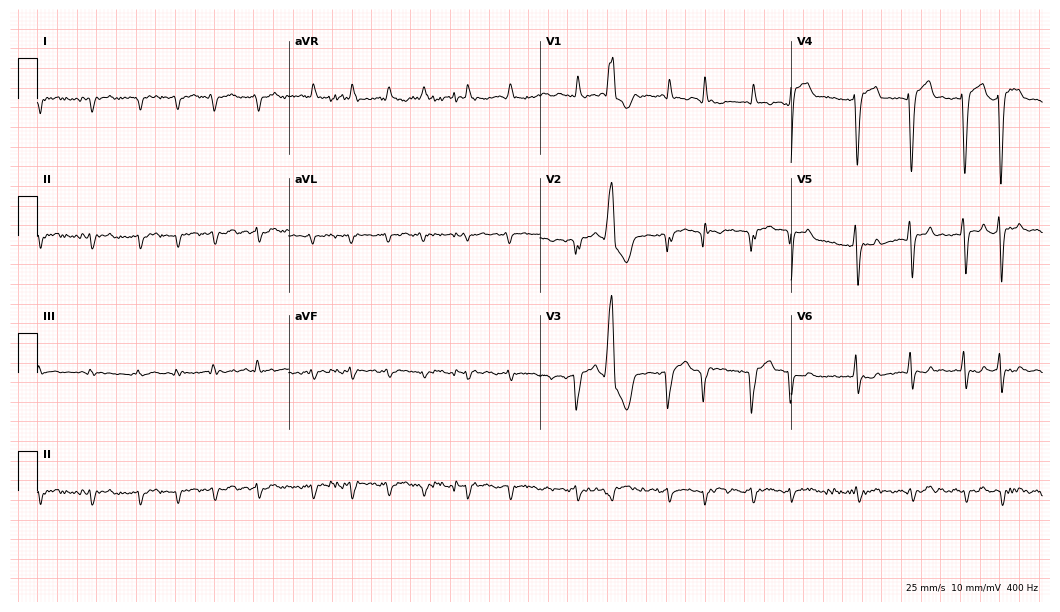
ECG (10.2-second recording at 400 Hz) — a male patient, 81 years old. Screened for six findings — first-degree AV block, right bundle branch block, left bundle branch block, sinus bradycardia, atrial fibrillation, sinus tachycardia — none is recorded. Only these six findings were labelled.